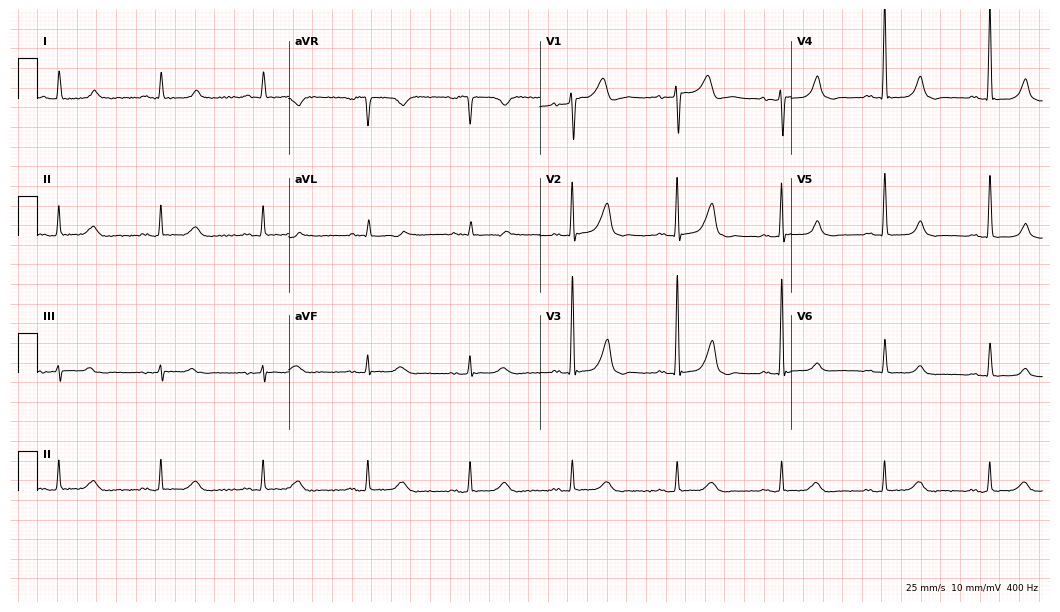
12-lead ECG from a male, 85 years old (10.2-second recording at 400 Hz). Recorded interpretation: within normal limits.